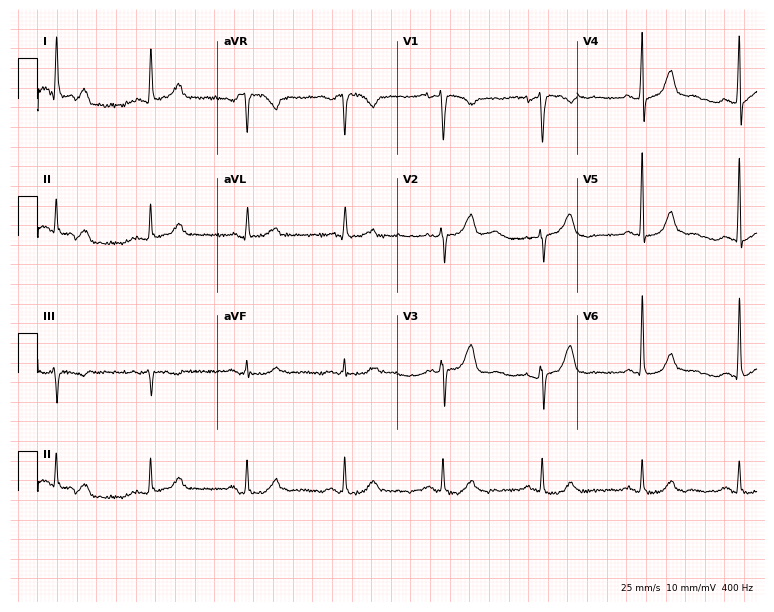
12-lead ECG from a 63-year-old female. Screened for six findings — first-degree AV block, right bundle branch block (RBBB), left bundle branch block (LBBB), sinus bradycardia, atrial fibrillation (AF), sinus tachycardia — none is recorded.